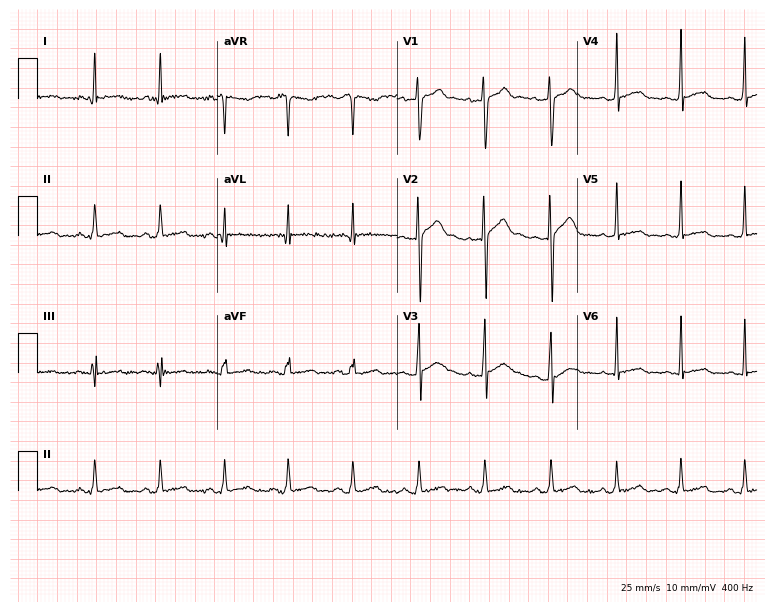
Electrocardiogram, a 27-year-old male patient. Of the six screened findings (first-degree AV block, right bundle branch block, left bundle branch block, sinus bradycardia, atrial fibrillation, sinus tachycardia), none is recorded. Findings outside these six are not listed.